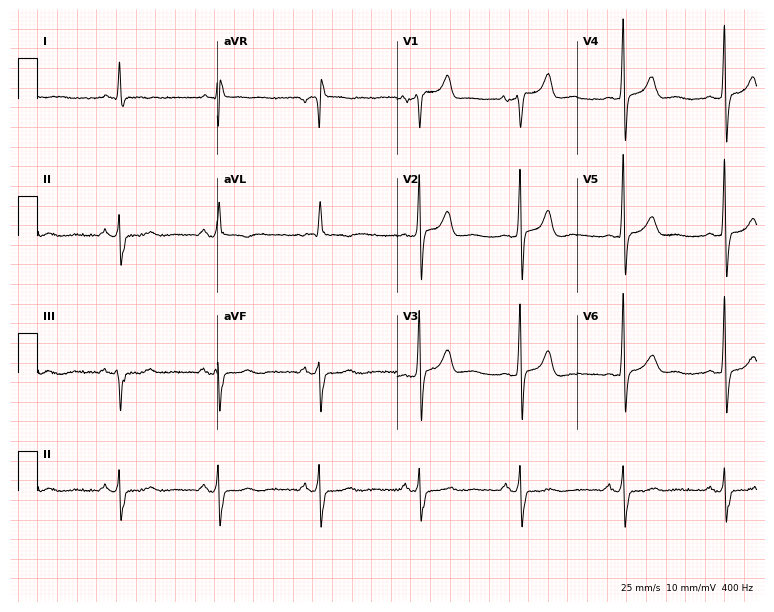
12-lead ECG (7.3-second recording at 400 Hz) from a male patient, 75 years old. Screened for six findings — first-degree AV block, right bundle branch block (RBBB), left bundle branch block (LBBB), sinus bradycardia, atrial fibrillation (AF), sinus tachycardia — none is recorded. Only these six findings were labelled.